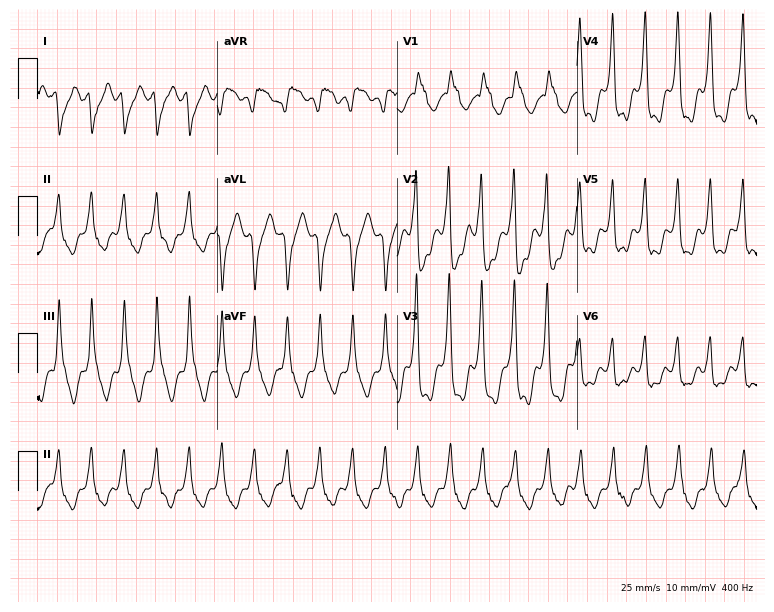
12-lead ECG (7.3-second recording at 400 Hz) from a 54-year-old male. Findings include right bundle branch block.